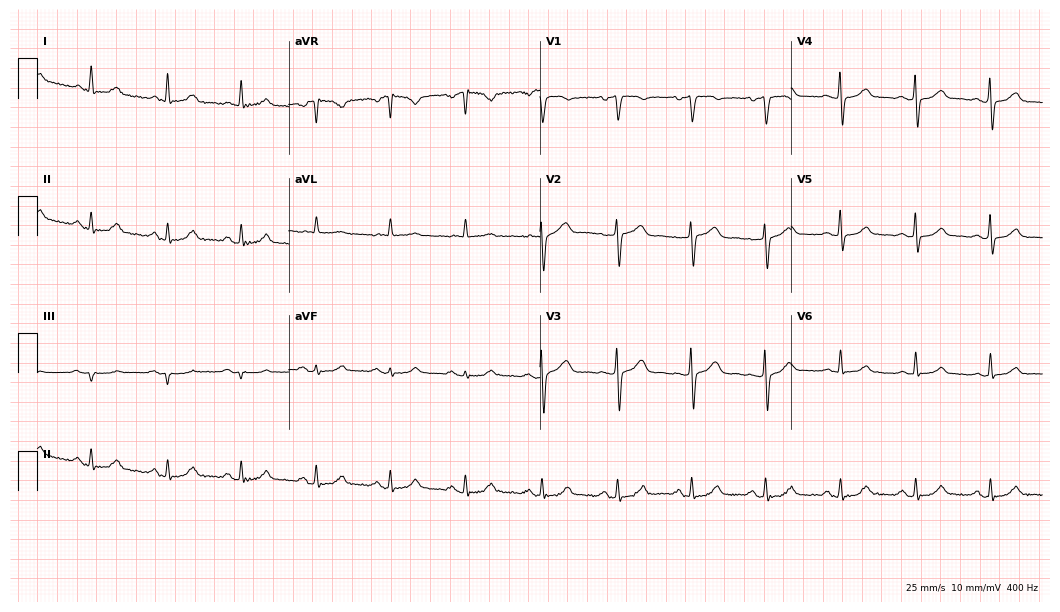
12-lead ECG (10.2-second recording at 400 Hz) from a female patient, 56 years old. Labelled as a normal ECG.